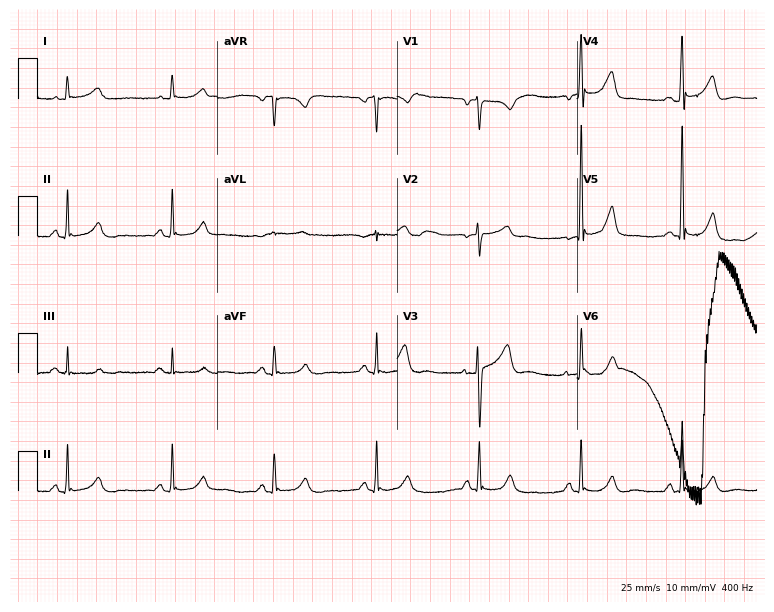
Electrocardiogram, a male patient, 71 years old. Overall reading on record: normal ECG.